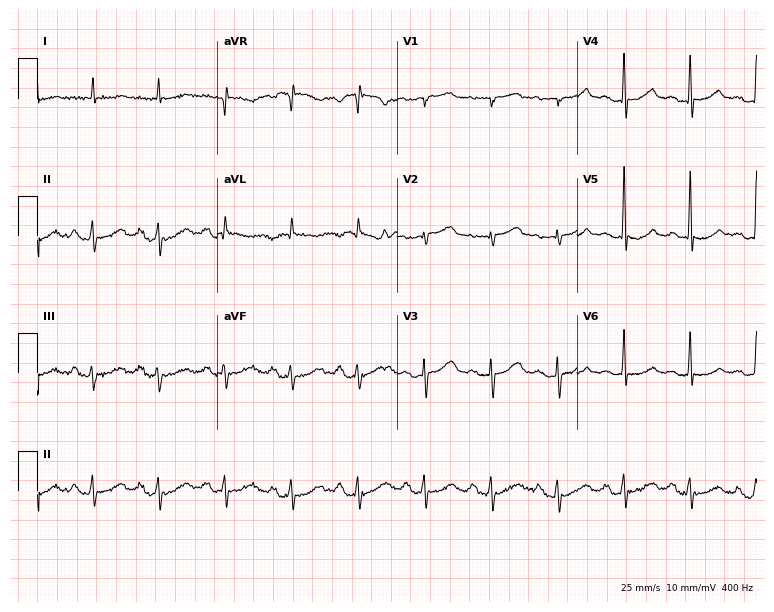
Electrocardiogram (7.3-second recording at 400 Hz), a man, 82 years old. Of the six screened findings (first-degree AV block, right bundle branch block (RBBB), left bundle branch block (LBBB), sinus bradycardia, atrial fibrillation (AF), sinus tachycardia), none is recorded.